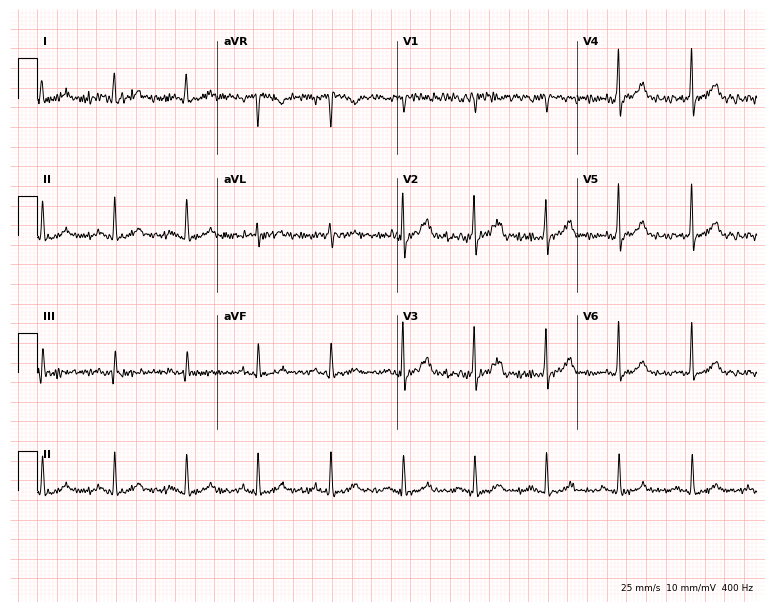
ECG — a 61-year-old male patient. Labelled as a normal ECG.